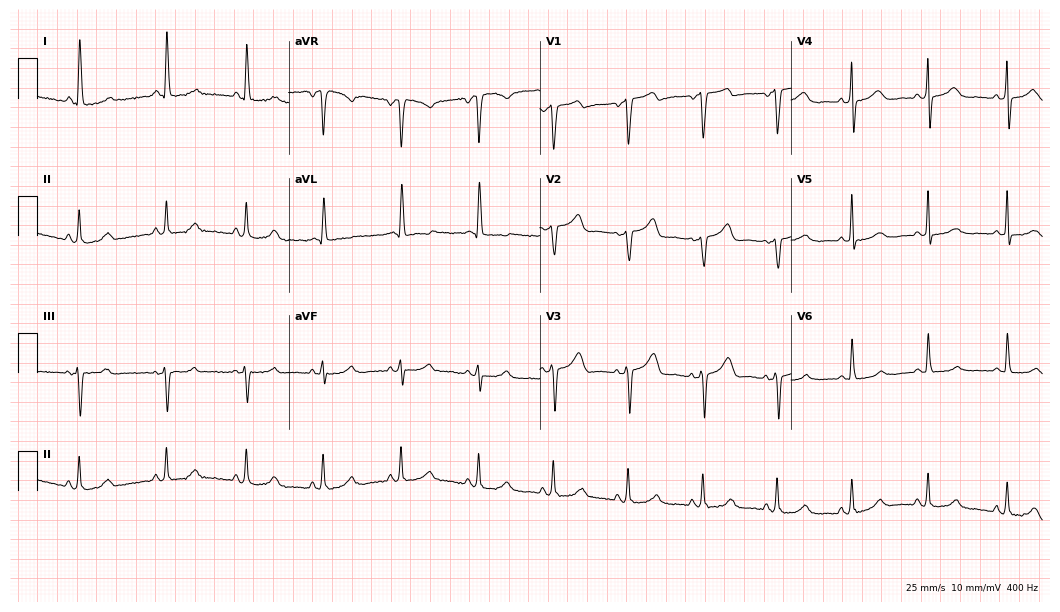
12-lead ECG from a 49-year-old woman. No first-degree AV block, right bundle branch block, left bundle branch block, sinus bradycardia, atrial fibrillation or sinus tachycardia recorded for this tracing.